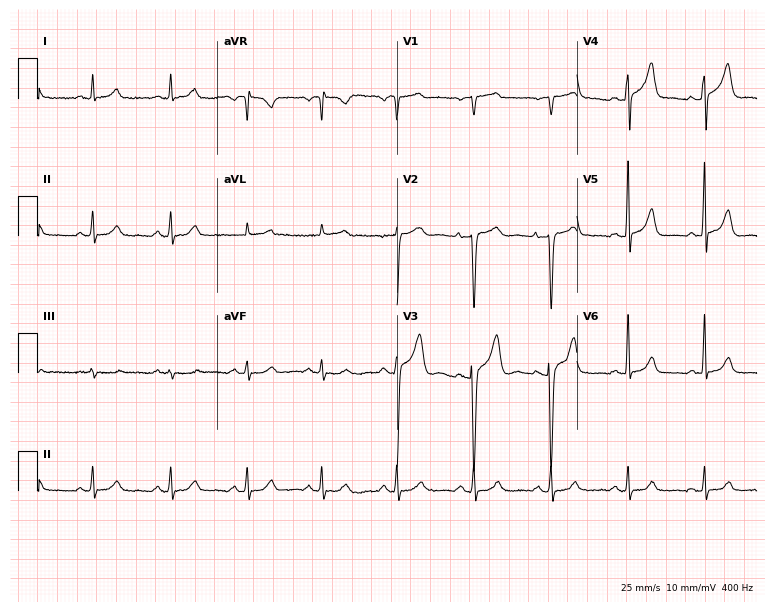
Standard 12-lead ECG recorded from a 67-year-old male. Read as a normal ECG.